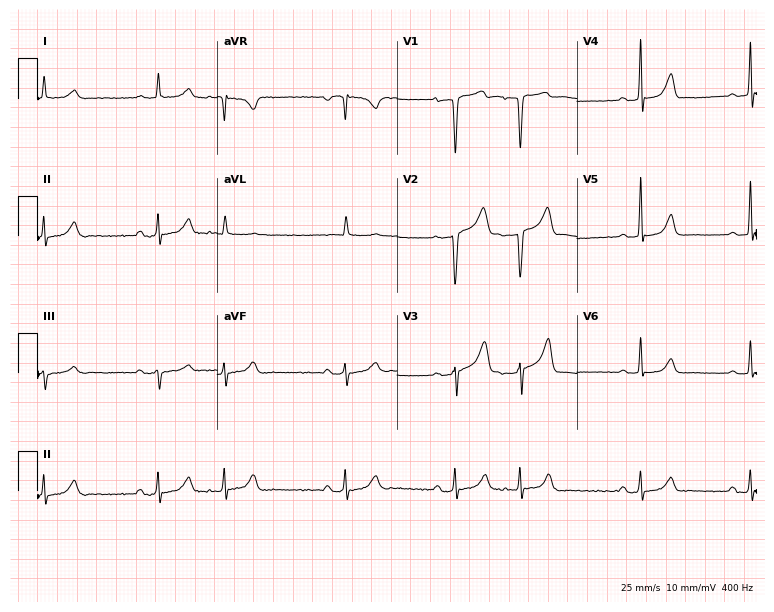
Resting 12-lead electrocardiogram (7.3-second recording at 400 Hz). Patient: a male, 61 years old. None of these six findings is recorded: first-degree AV block, right bundle branch block, left bundle branch block, sinus bradycardia, atrial fibrillation, sinus tachycardia. Only these six findings were labelled.